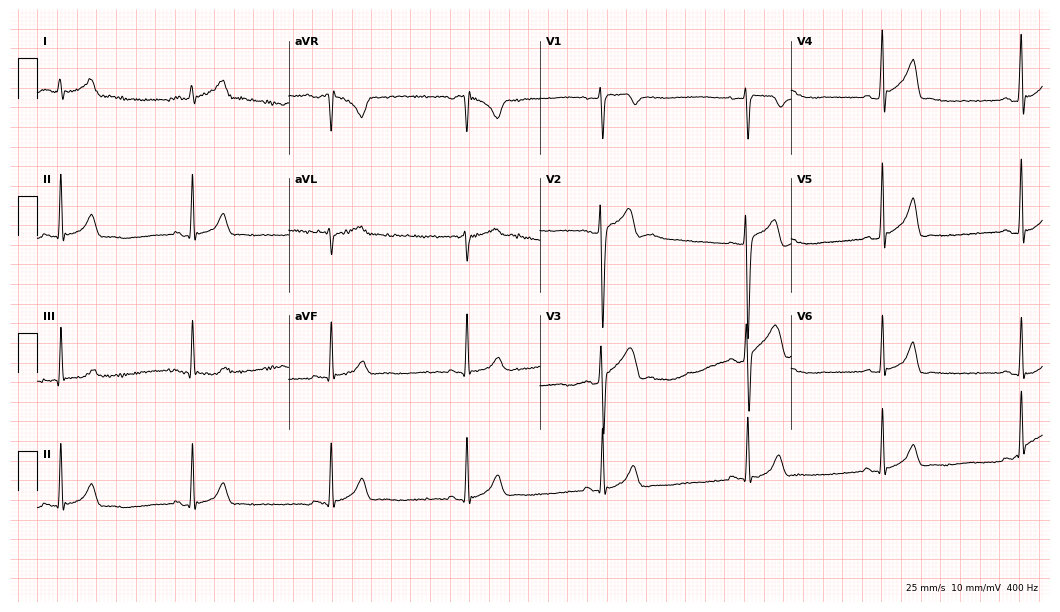
Resting 12-lead electrocardiogram. Patient: a 20-year-old man. The tracing shows sinus bradycardia (a sinus rate of 50 beats per minute or less).